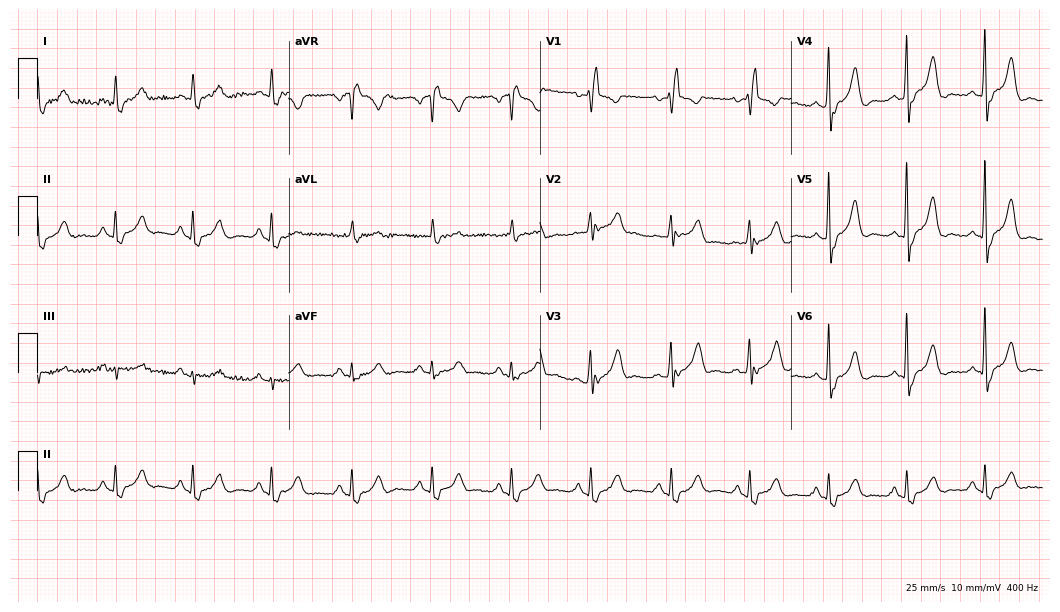
12-lead ECG from a woman, 71 years old. Findings include right bundle branch block.